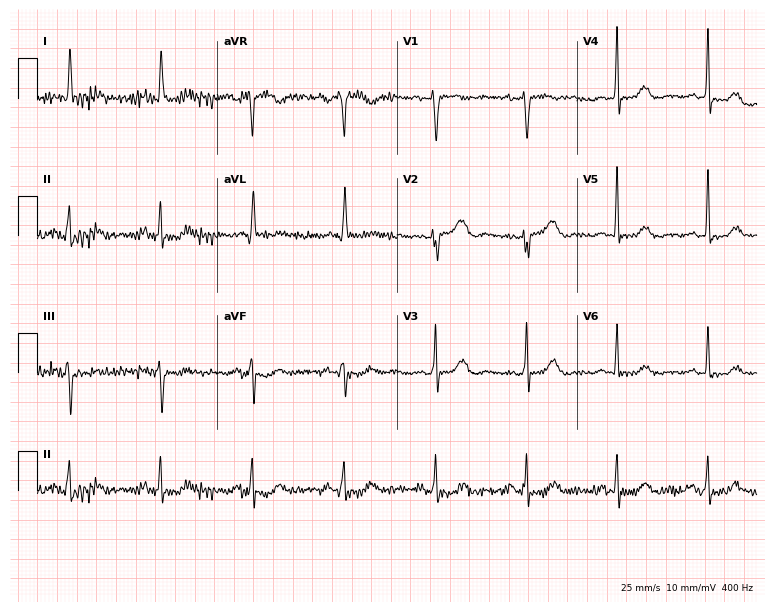
Electrocardiogram (7.3-second recording at 400 Hz), a woman, 64 years old. Overall reading on record: normal ECG.